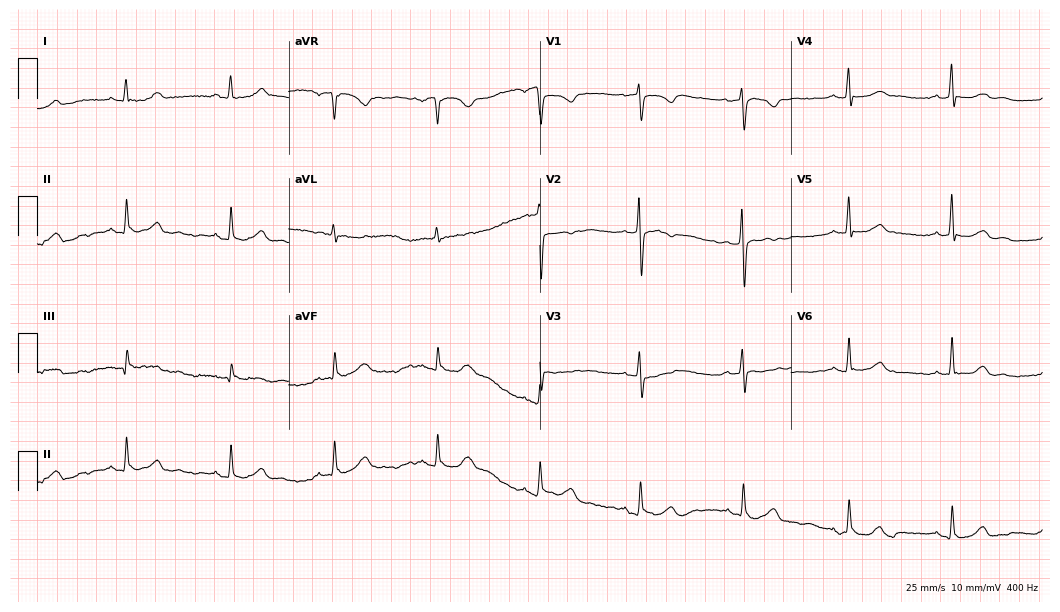
12-lead ECG (10.2-second recording at 400 Hz) from a woman, 58 years old. Screened for six findings — first-degree AV block, right bundle branch block (RBBB), left bundle branch block (LBBB), sinus bradycardia, atrial fibrillation (AF), sinus tachycardia — none is recorded.